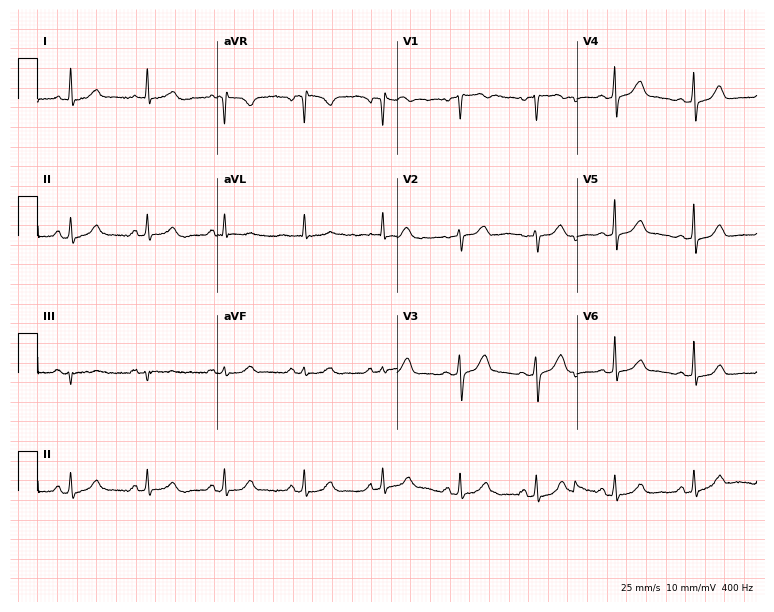
Standard 12-lead ECG recorded from a 50-year-old female patient. Read as a normal ECG.